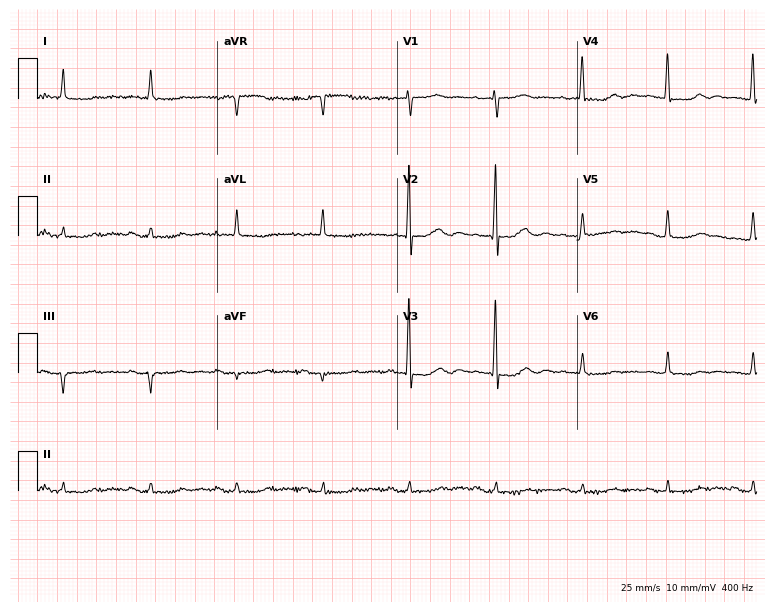
Resting 12-lead electrocardiogram. Patient: an 80-year-old female. None of these six findings is recorded: first-degree AV block, right bundle branch block, left bundle branch block, sinus bradycardia, atrial fibrillation, sinus tachycardia. Only these six findings were labelled.